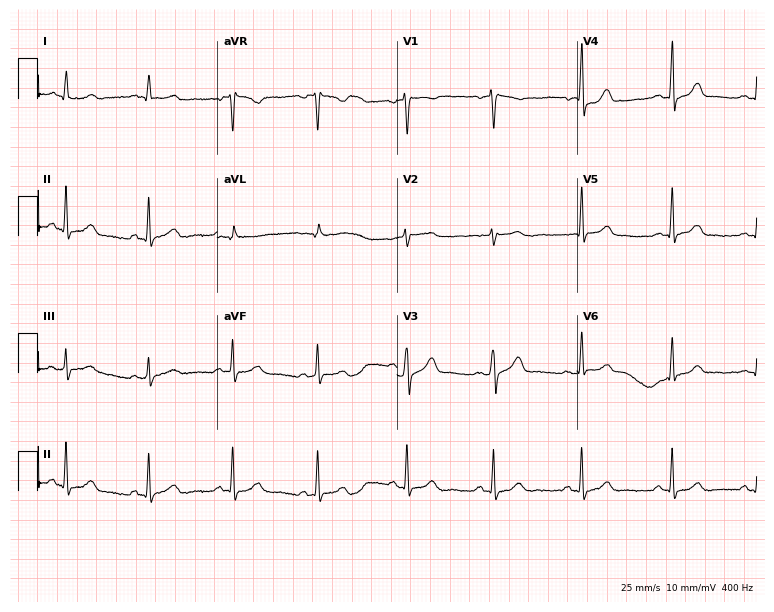
12-lead ECG from a 39-year-old female patient (7.3-second recording at 400 Hz). Recorded interpretation: within normal limits.